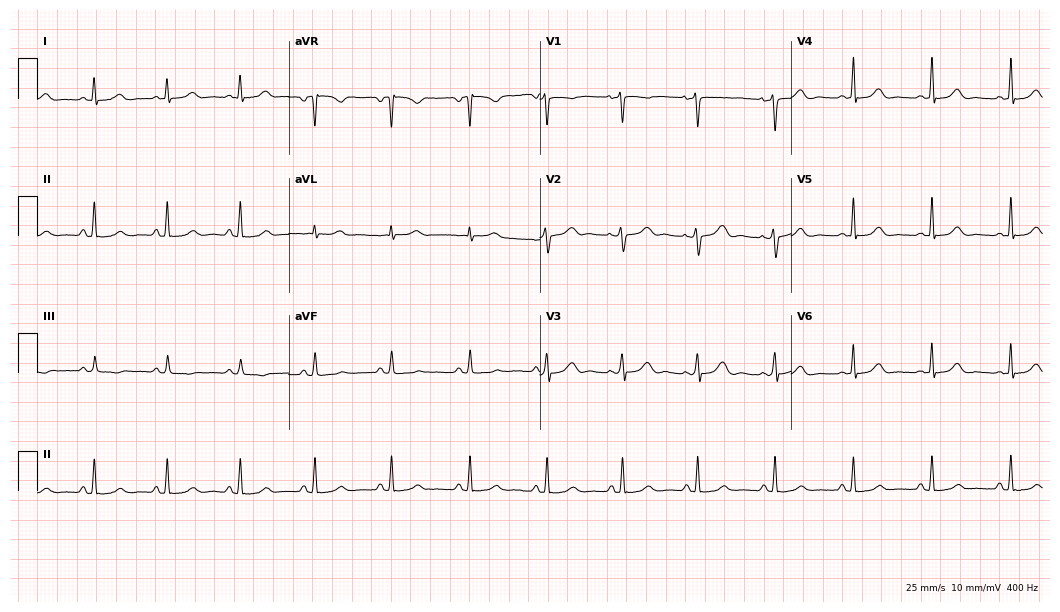
Standard 12-lead ECG recorded from a female patient, 41 years old (10.2-second recording at 400 Hz). Read as a normal ECG.